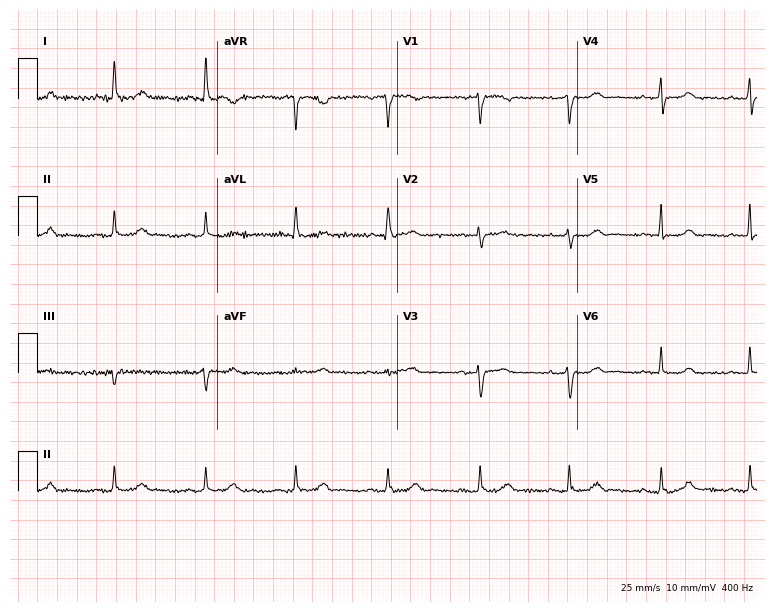
Resting 12-lead electrocardiogram. Patient: a female, 71 years old. Read as a normal ECG.